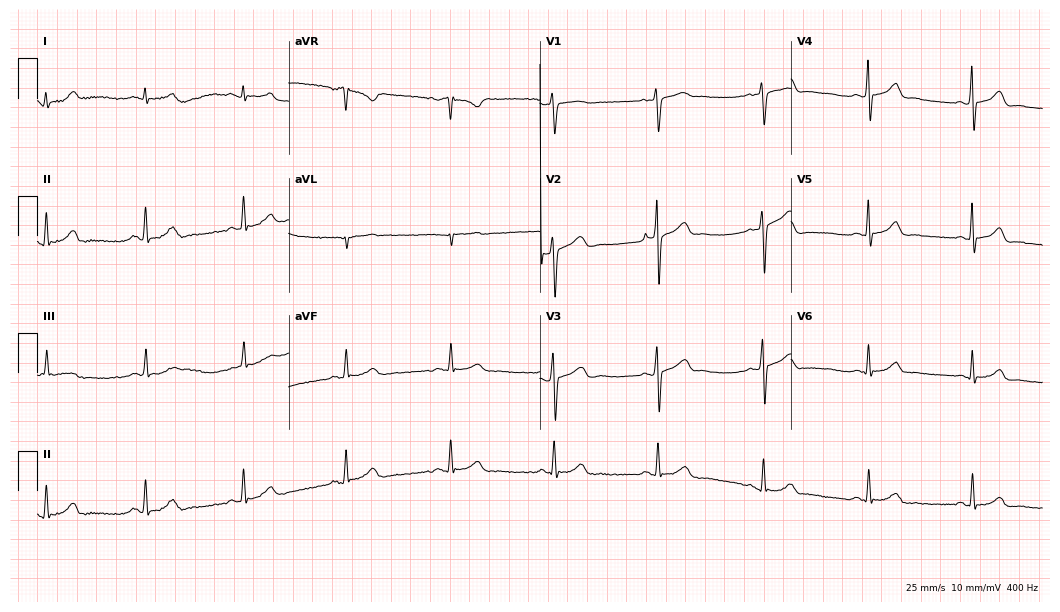
12-lead ECG from a male patient, 54 years old. Recorded interpretation: within normal limits.